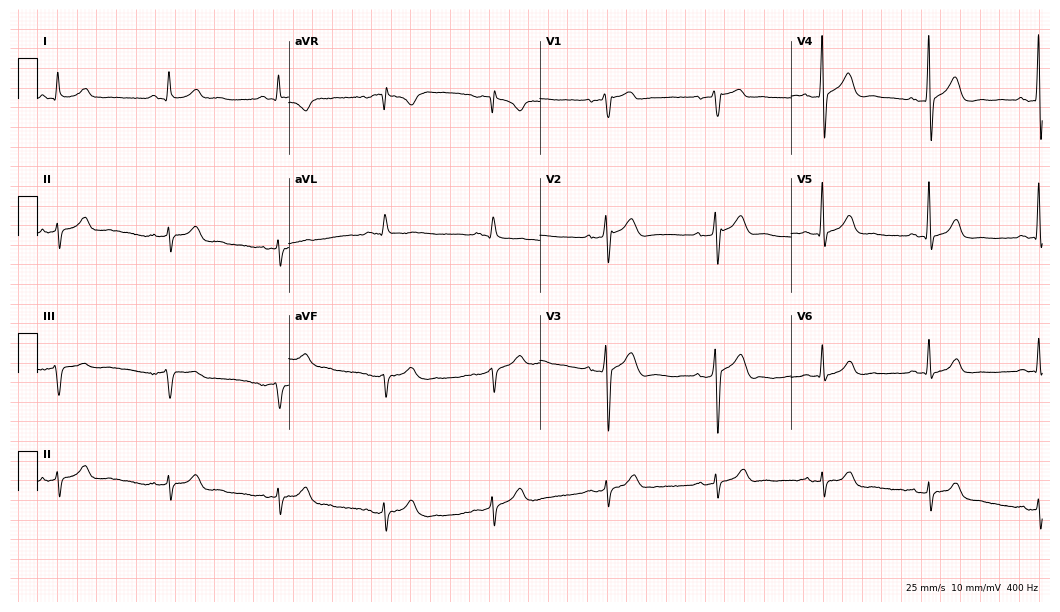
ECG (10.2-second recording at 400 Hz) — a 61-year-old male. Screened for six findings — first-degree AV block, right bundle branch block, left bundle branch block, sinus bradycardia, atrial fibrillation, sinus tachycardia — none is recorded.